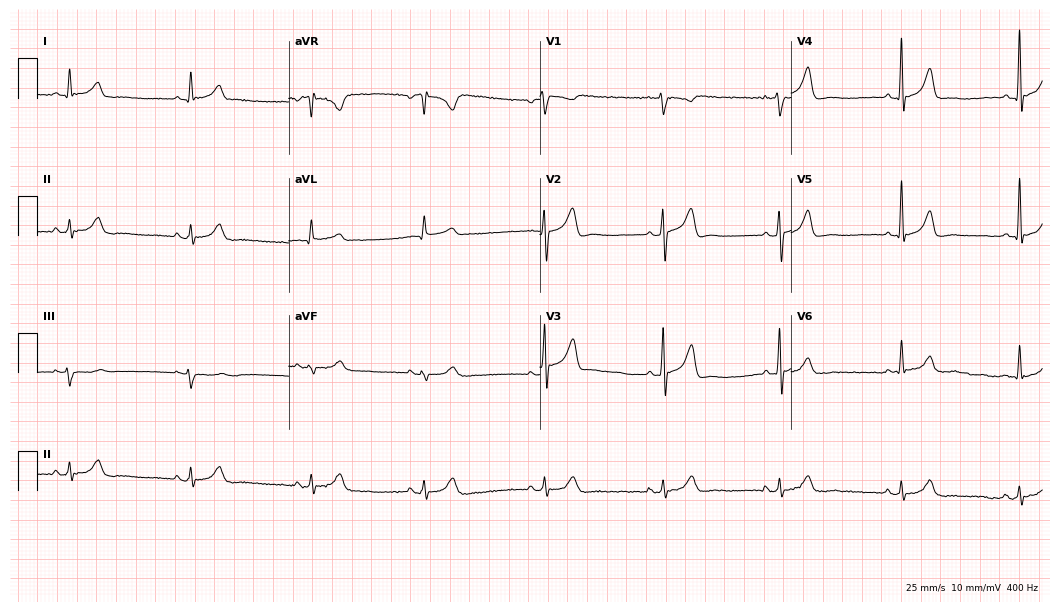
Electrocardiogram, a 43-year-old man. Overall reading on record: normal ECG.